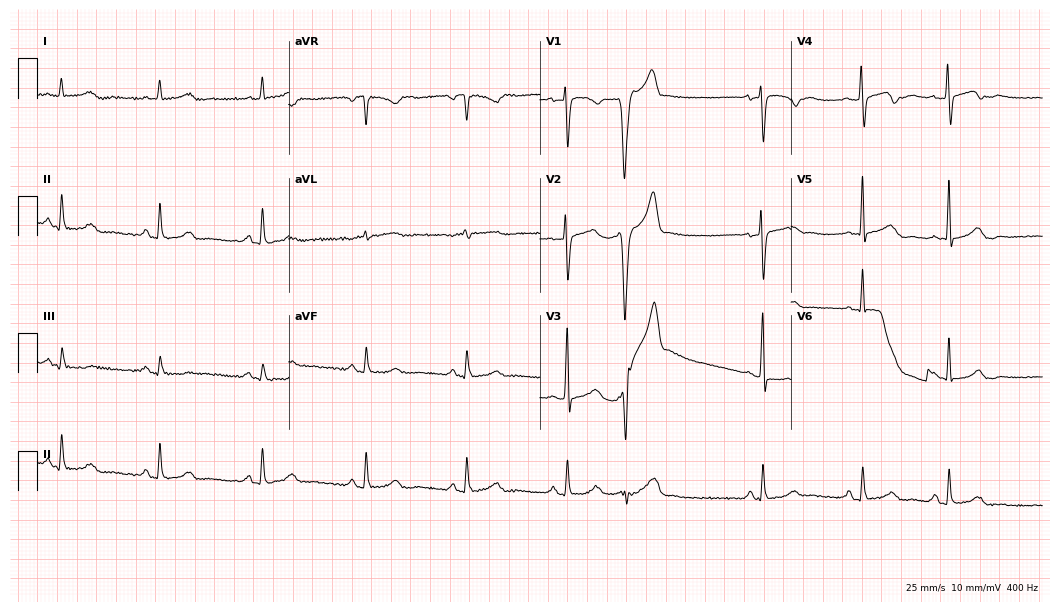
Electrocardiogram, a female, 37 years old. Of the six screened findings (first-degree AV block, right bundle branch block, left bundle branch block, sinus bradycardia, atrial fibrillation, sinus tachycardia), none is recorded. Only these six findings were labelled.